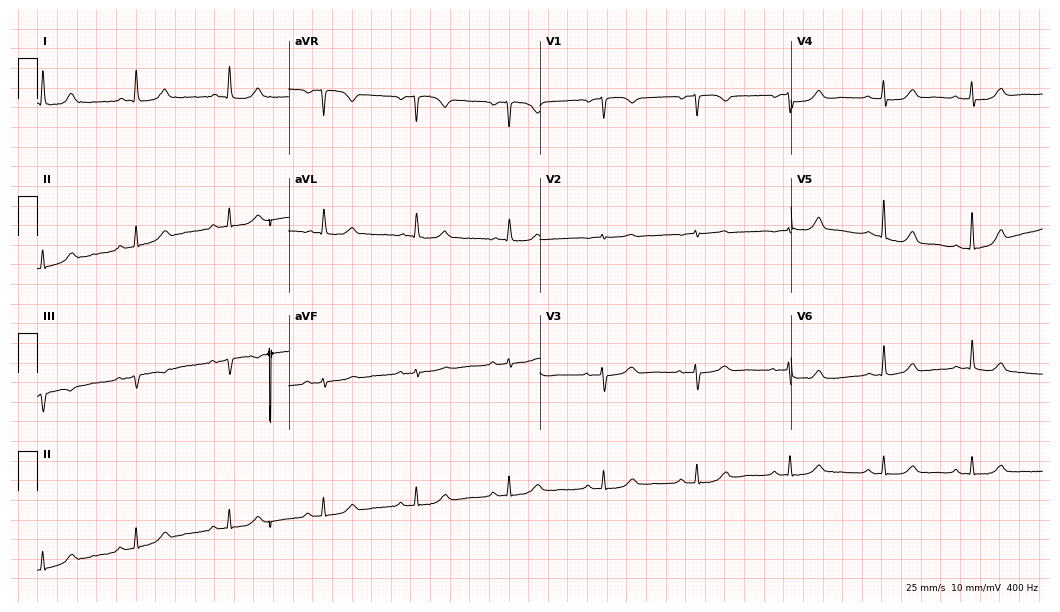
12-lead ECG from a female patient, 67 years old (10.2-second recording at 400 Hz). Recorded interpretation: within normal limits.